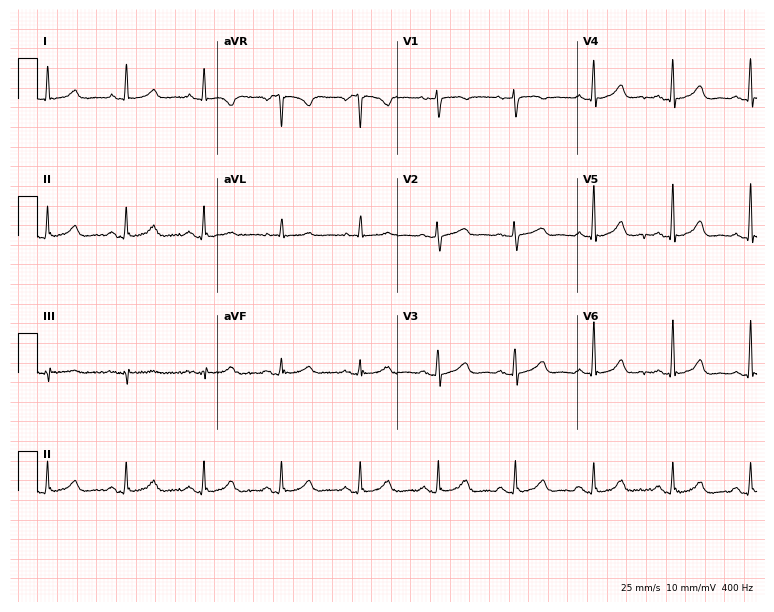
12-lead ECG from a female patient, 57 years old. Recorded interpretation: within normal limits.